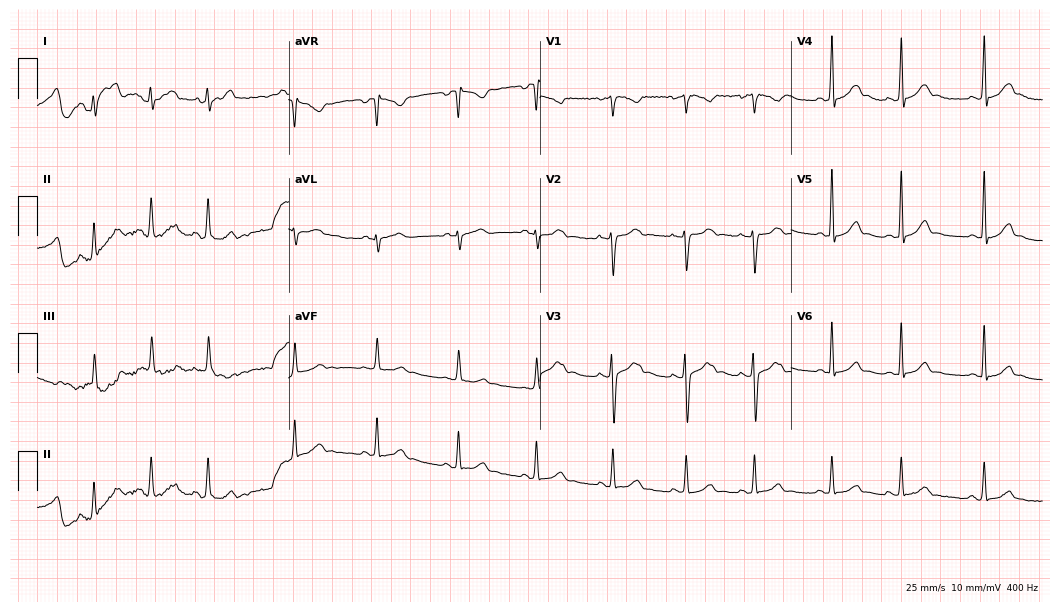
Standard 12-lead ECG recorded from a 23-year-old female. None of these six findings is recorded: first-degree AV block, right bundle branch block, left bundle branch block, sinus bradycardia, atrial fibrillation, sinus tachycardia.